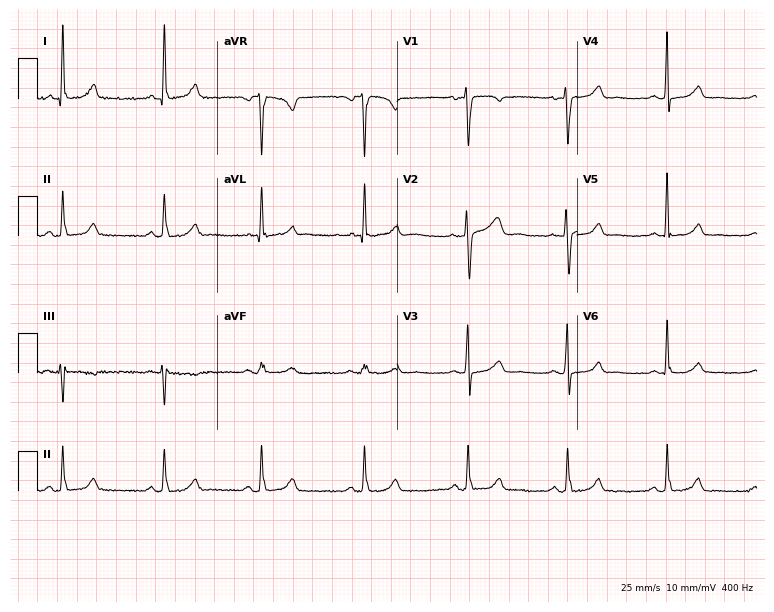
12-lead ECG from a 44-year-old female. No first-degree AV block, right bundle branch block, left bundle branch block, sinus bradycardia, atrial fibrillation or sinus tachycardia recorded for this tracing.